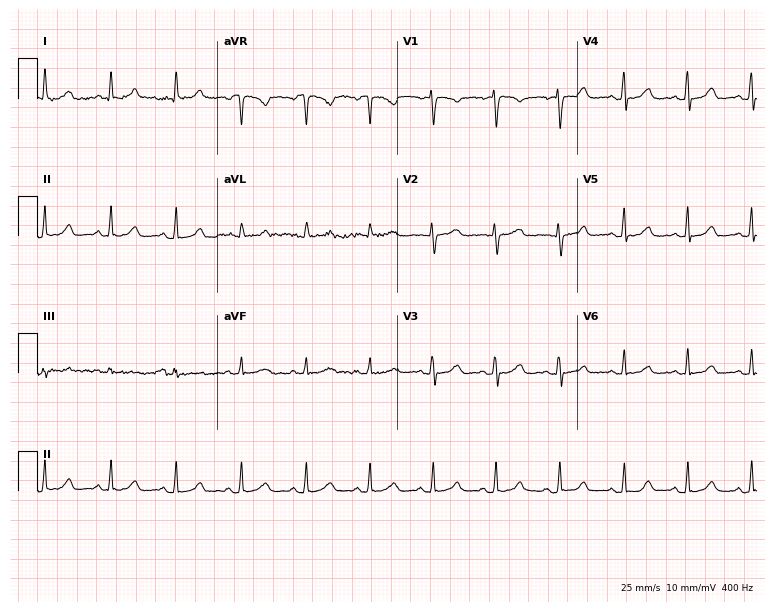
12-lead ECG (7.3-second recording at 400 Hz) from a 24-year-old woman. Labelled as a normal ECG.